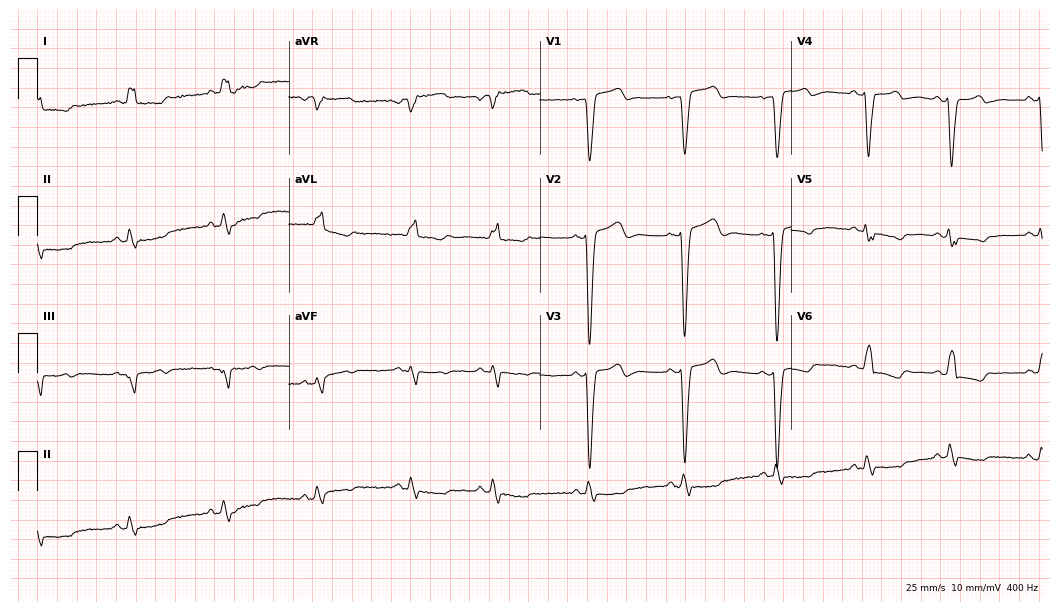
Electrocardiogram, a woman, 83 years old. Interpretation includes left bundle branch block.